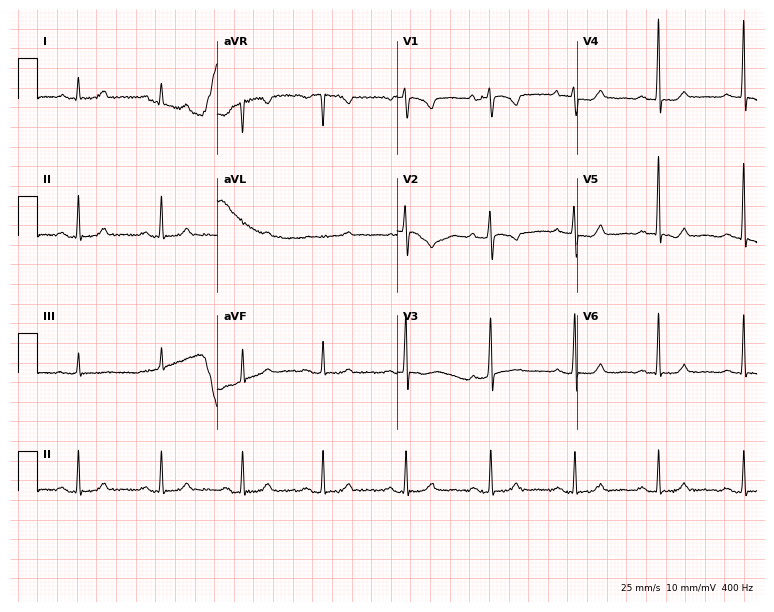
Standard 12-lead ECG recorded from a woman, 45 years old. None of these six findings is recorded: first-degree AV block, right bundle branch block (RBBB), left bundle branch block (LBBB), sinus bradycardia, atrial fibrillation (AF), sinus tachycardia. Other findings, if any, are not listed.